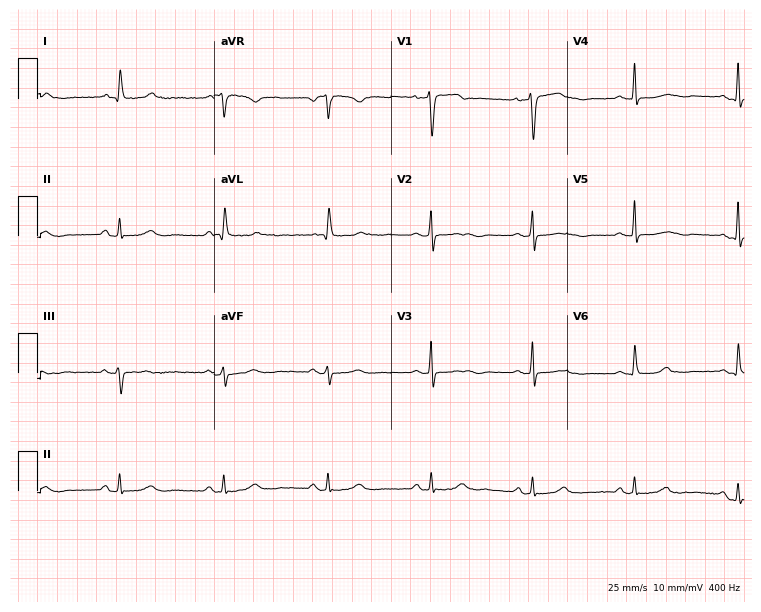
12-lead ECG from a 59-year-old female patient. Labelled as a normal ECG.